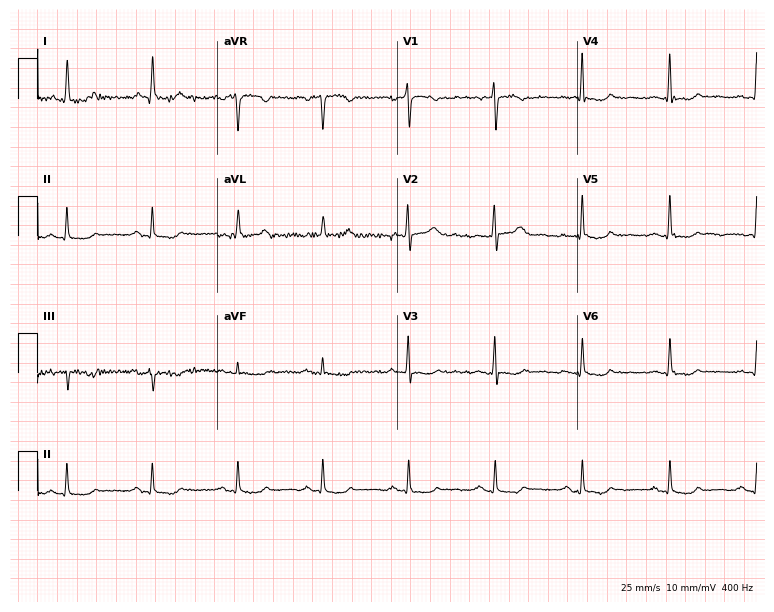
Electrocardiogram (7.3-second recording at 400 Hz), an 82-year-old female. Of the six screened findings (first-degree AV block, right bundle branch block, left bundle branch block, sinus bradycardia, atrial fibrillation, sinus tachycardia), none is recorded.